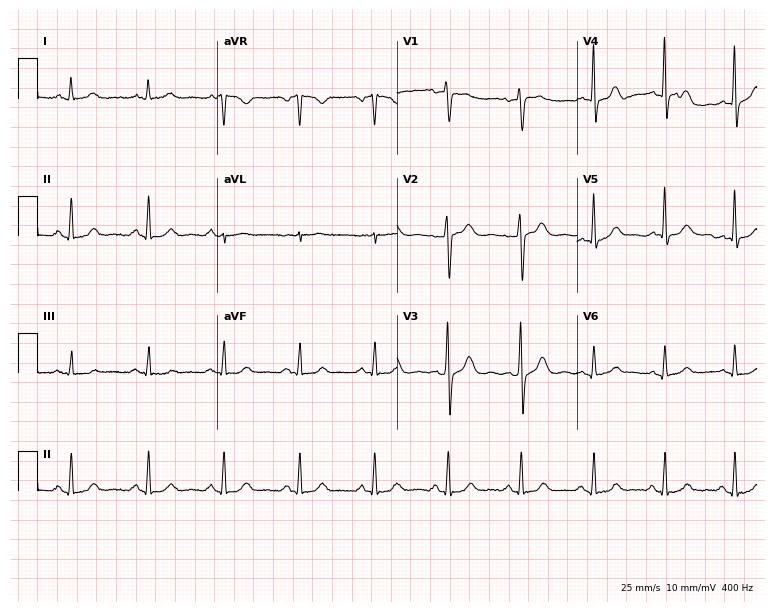
Standard 12-lead ECG recorded from a 54-year-old female patient. Read as a normal ECG.